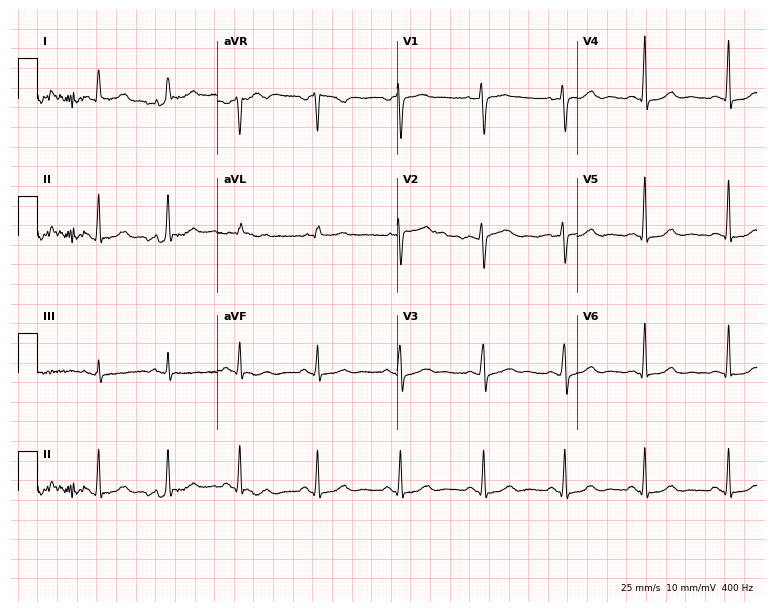
Electrocardiogram (7.3-second recording at 400 Hz), a 45-year-old female. Overall reading on record: normal ECG.